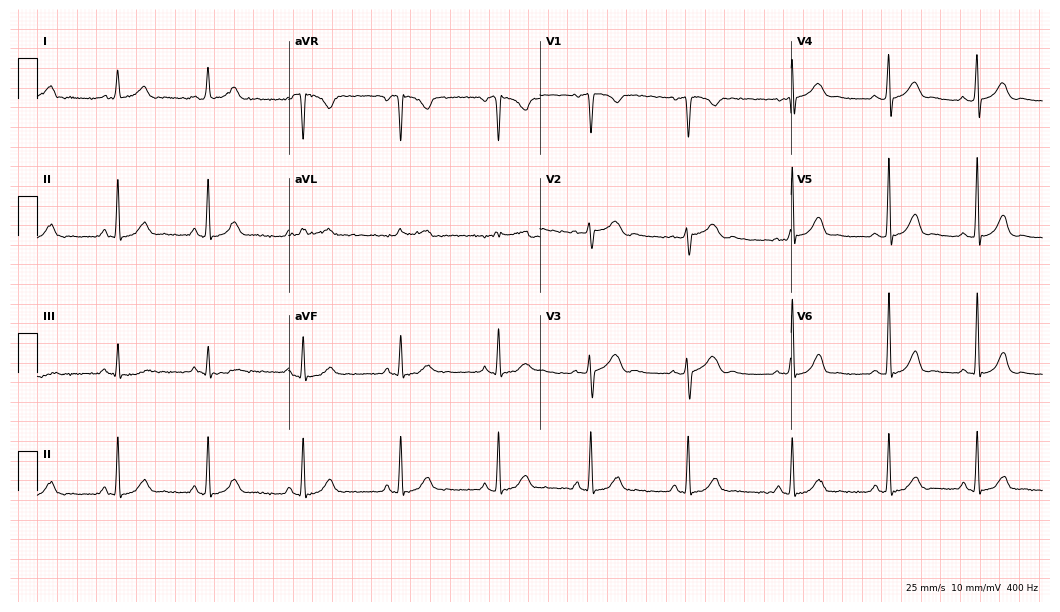
Resting 12-lead electrocardiogram. Patient: a 33-year-old woman. None of these six findings is recorded: first-degree AV block, right bundle branch block, left bundle branch block, sinus bradycardia, atrial fibrillation, sinus tachycardia. Findings outside these six are not listed.